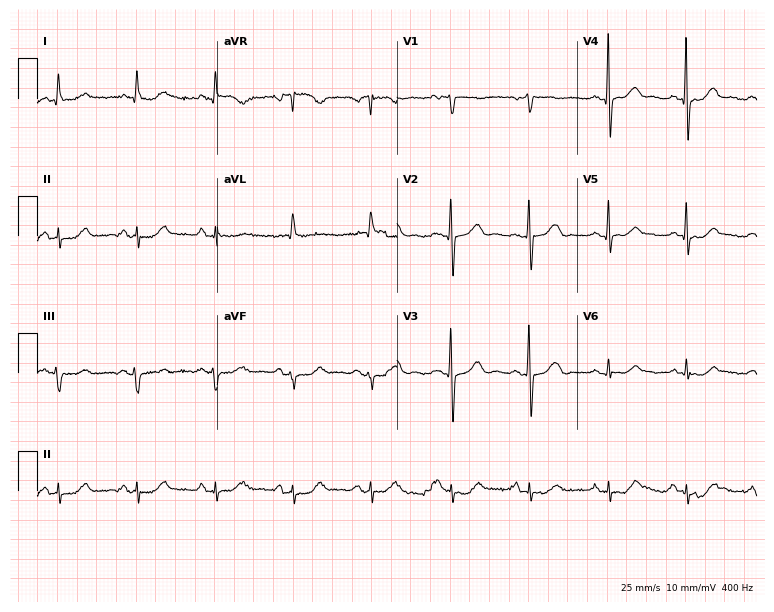
12-lead ECG (7.3-second recording at 400 Hz) from a male patient, 73 years old. Screened for six findings — first-degree AV block, right bundle branch block, left bundle branch block, sinus bradycardia, atrial fibrillation, sinus tachycardia — none is recorded.